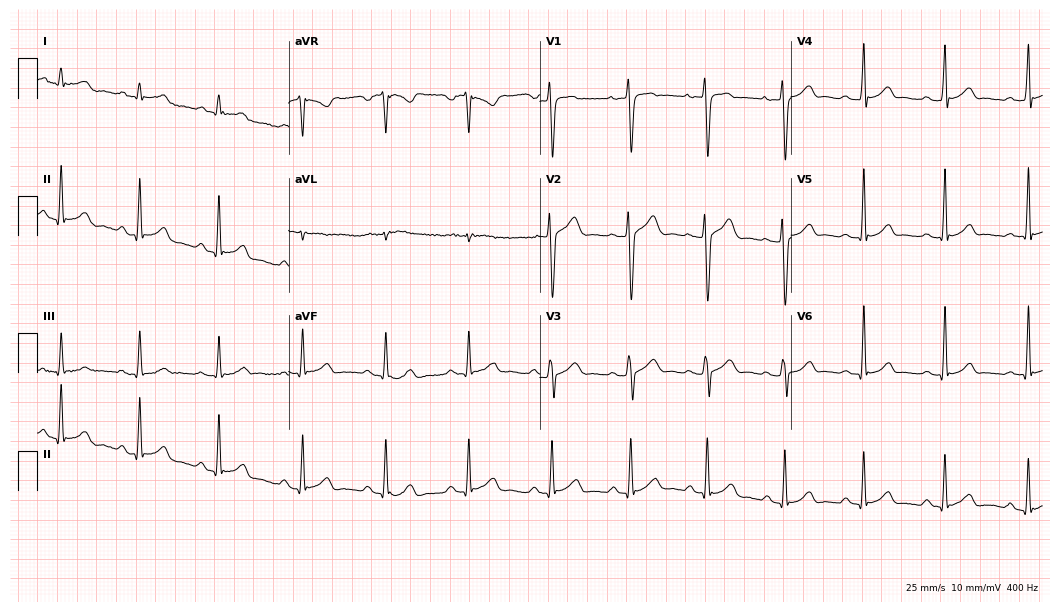
Electrocardiogram, a 21-year-old male patient. Overall reading on record: normal ECG.